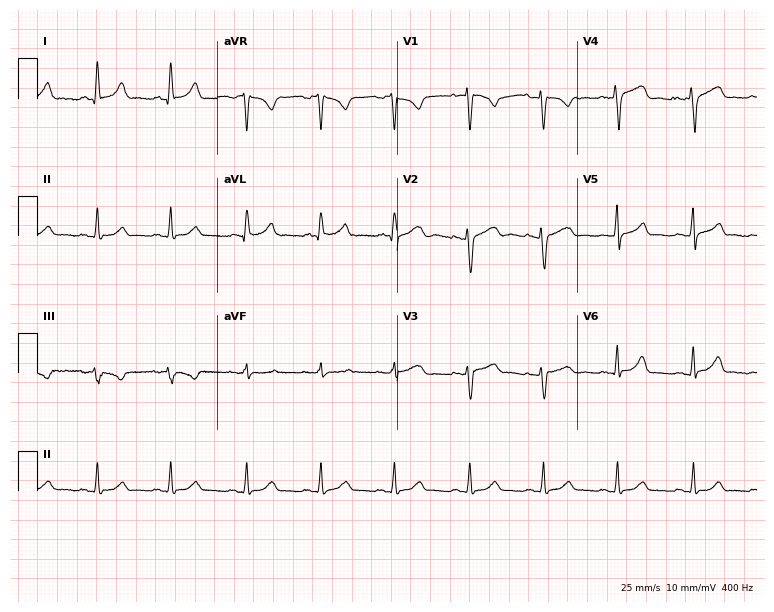
Standard 12-lead ECG recorded from a female patient, 38 years old (7.3-second recording at 400 Hz). Read as a normal ECG.